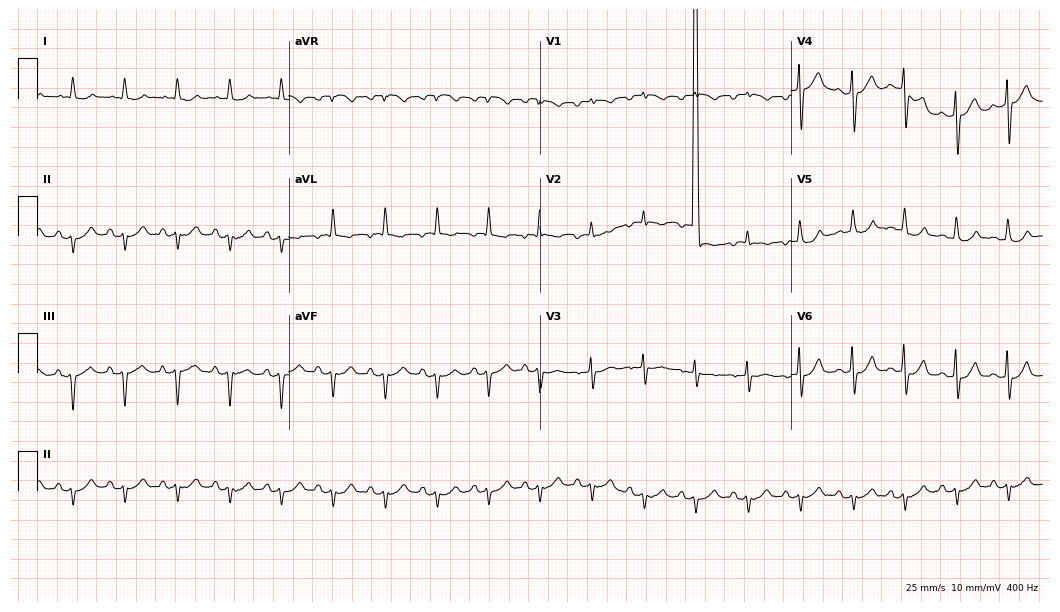
ECG — a woman, 83 years old. Screened for six findings — first-degree AV block, right bundle branch block, left bundle branch block, sinus bradycardia, atrial fibrillation, sinus tachycardia — none is recorded.